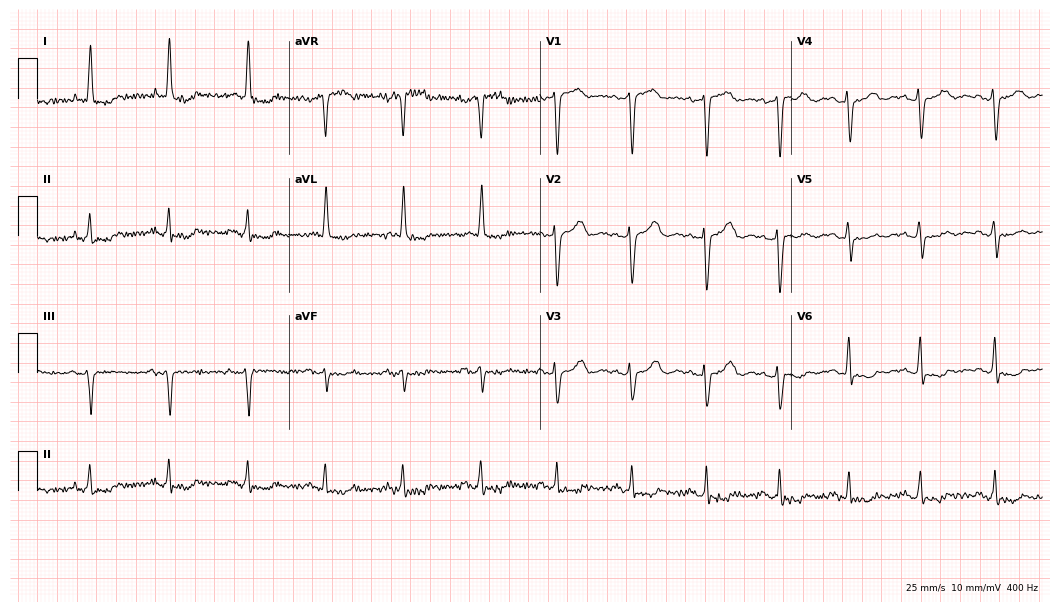
12-lead ECG from a woman, 70 years old. No first-degree AV block, right bundle branch block, left bundle branch block, sinus bradycardia, atrial fibrillation or sinus tachycardia recorded for this tracing.